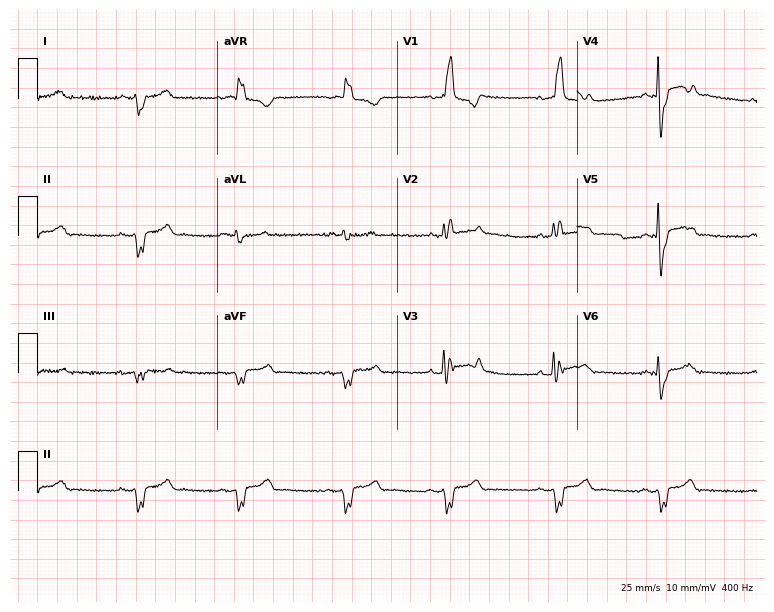
ECG — a male, 56 years old. Findings include right bundle branch block.